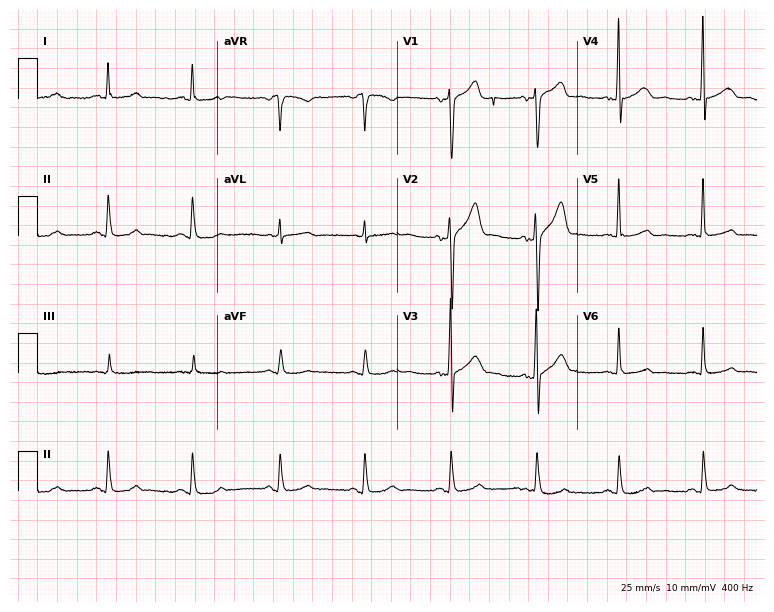
12-lead ECG from a male, 54 years old (7.3-second recording at 400 Hz). Recorded interpretation: within normal limits.